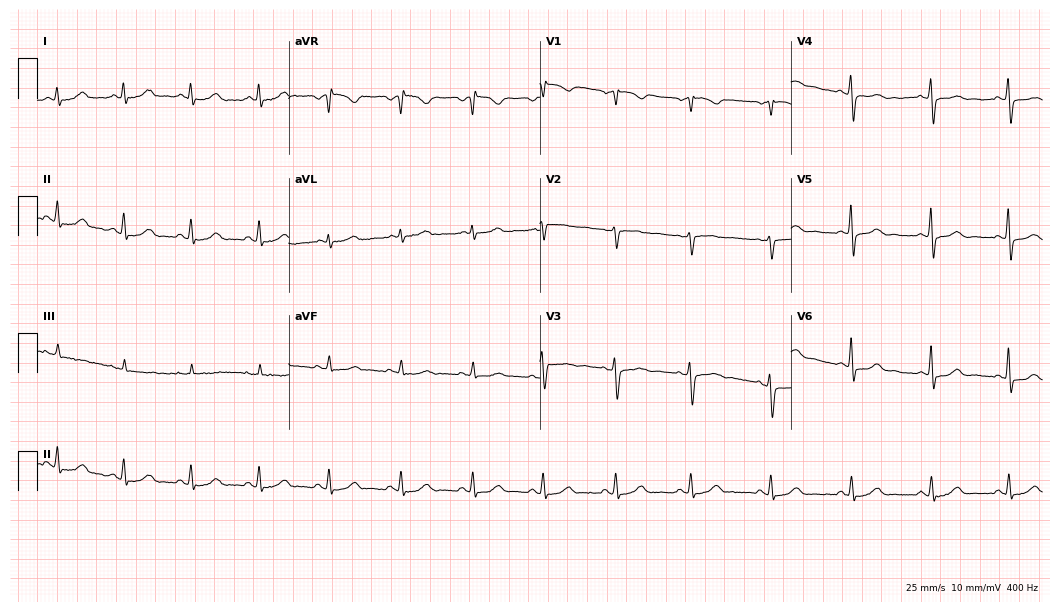
12-lead ECG from a 46-year-old female patient (10.2-second recording at 400 Hz). No first-degree AV block, right bundle branch block (RBBB), left bundle branch block (LBBB), sinus bradycardia, atrial fibrillation (AF) or sinus tachycardia recorded for this tracing.